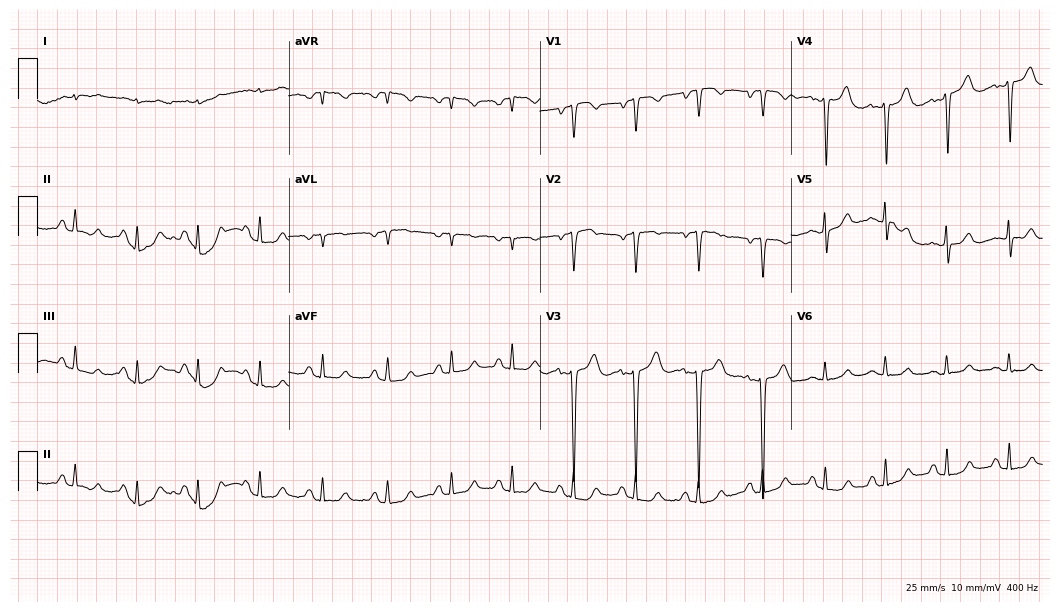
Electrocardiogram (10.2-second recording at 400 Hz), a woman, 60 years old. Of the six screened findings (first-degree AV block, right bundle branch block, left bundle branch block, sinus bradycardia, atrial fibrillation, sinus tachycardia), none is recorded.